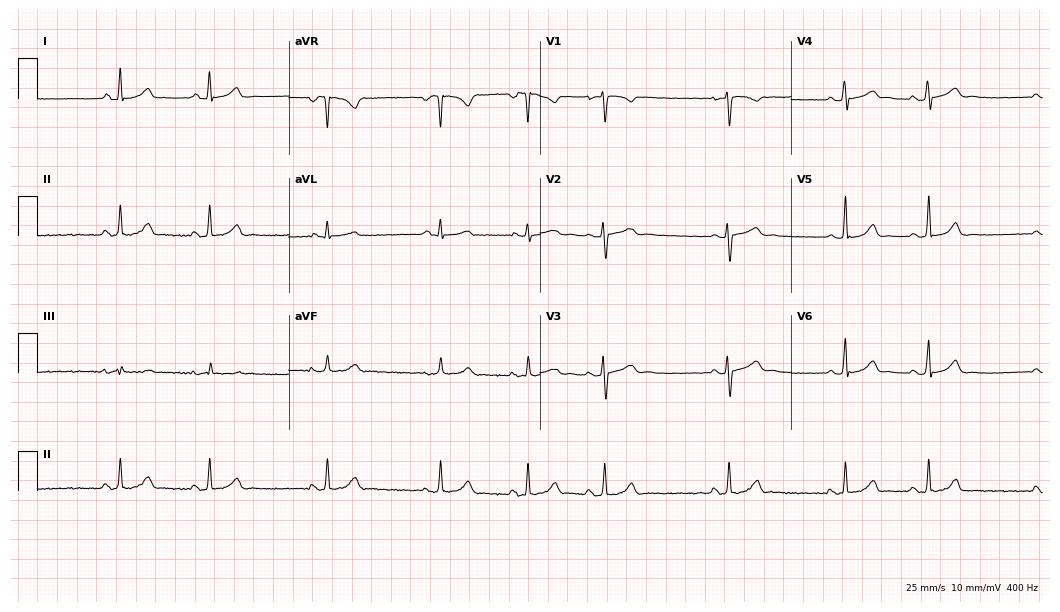
Resting 12-lead electrocardiogram (10.2-second recording at 400 Hz). Patient: a 26-year-old woman. Read as a normal ECG.